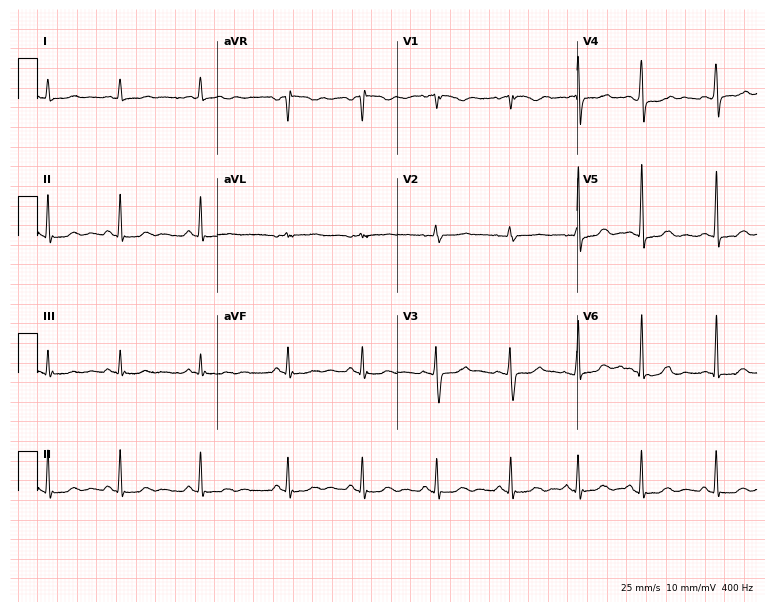
ECG (7.3-second recording at 400 Hz) — a female patient, 24 years old. Labelled as a normal ECG.